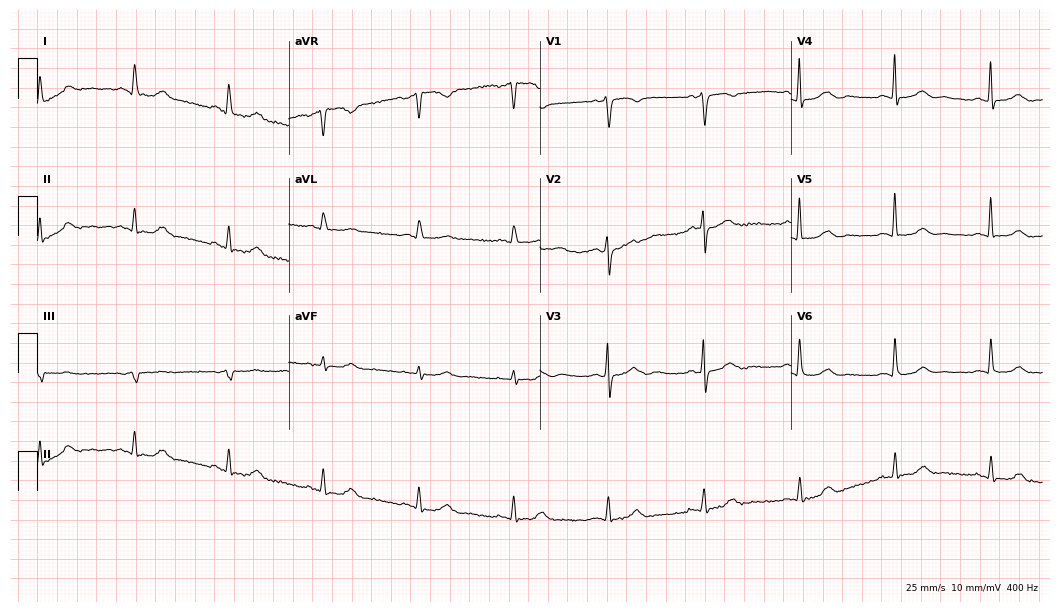
Resting 12-lead electrocardiogram. Patient: a female, 74 years old. Read as a normal ECG.